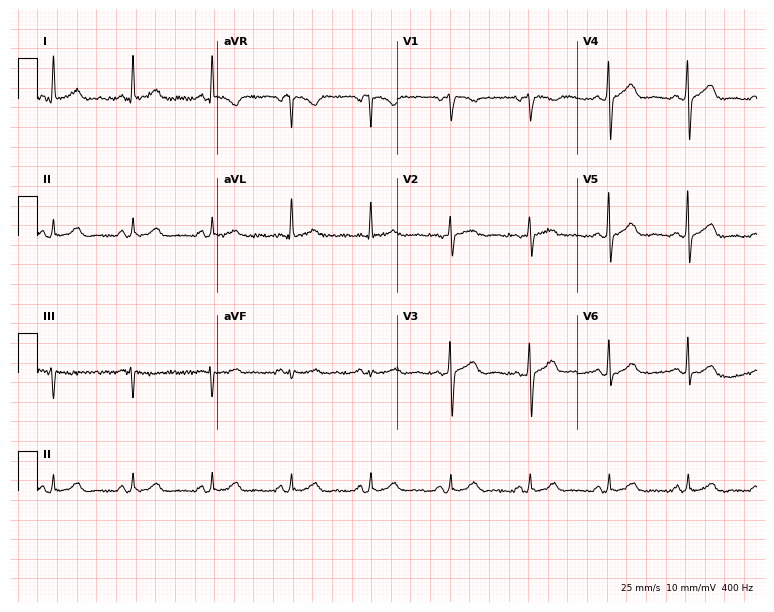
Resting 12-lead electrocardiogram (7.3-second recording at 400 Hz). Patient: a 58-year-old man. Read as a normal ECG.